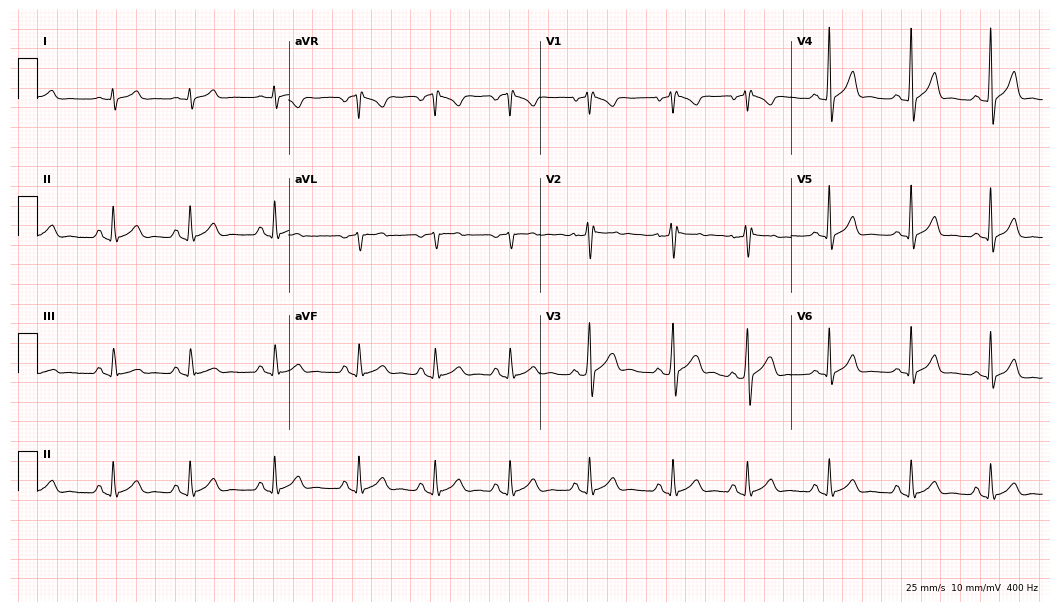
Resting 12-lead electrocardiogram. Patient: a 25-year-old male. Read as a normal ECG.